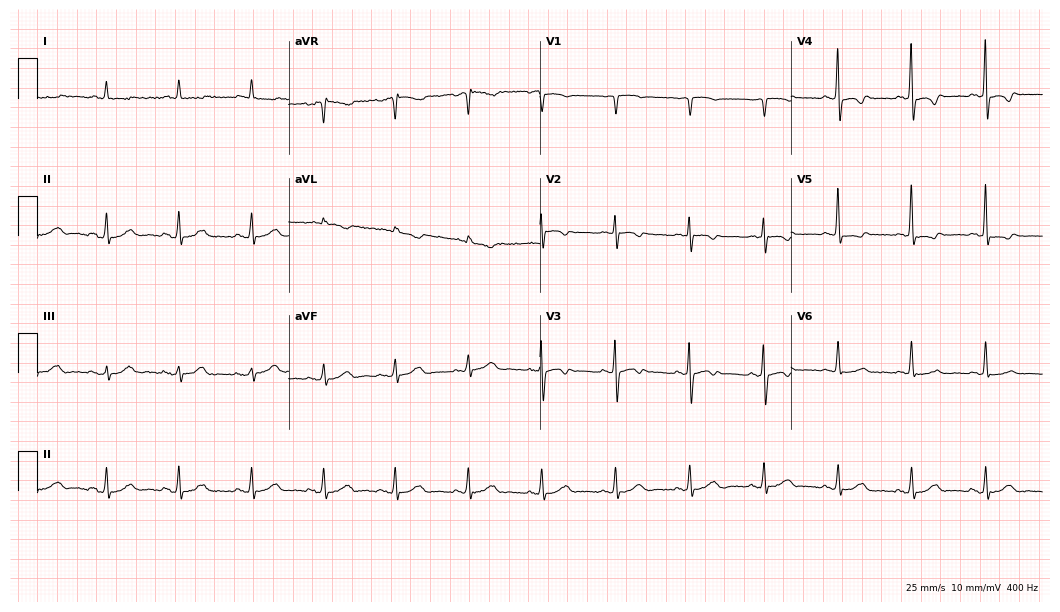
12-lead ECG (10.2-second recording at 400 Hz) from a male patient, 80 years old. Screened for six findings — first-degree AV block, right bundle branch block (RBBB), left bundle branch block (LBBB), sinus bradycardia, atrial fibrillation (AF), sinus tachycardia — none is recorded.